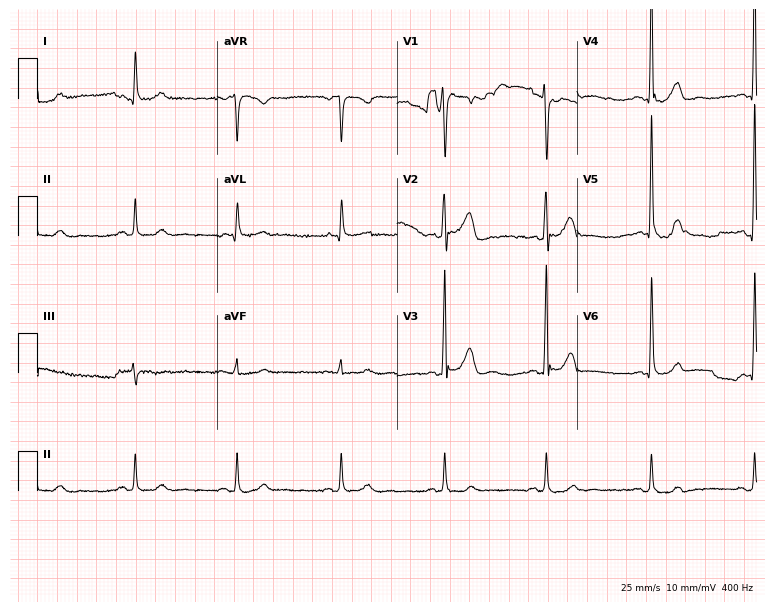
12-lead ECG from a 74-year-old man. No first-degree AV block, right bundle branch block (RBBB), left bundle branch block (LBBB), sinus bradycardia, atrial fibrillation (AF) or sinus tachycardia recorded for this tracing. Findings outside these six are not listed.